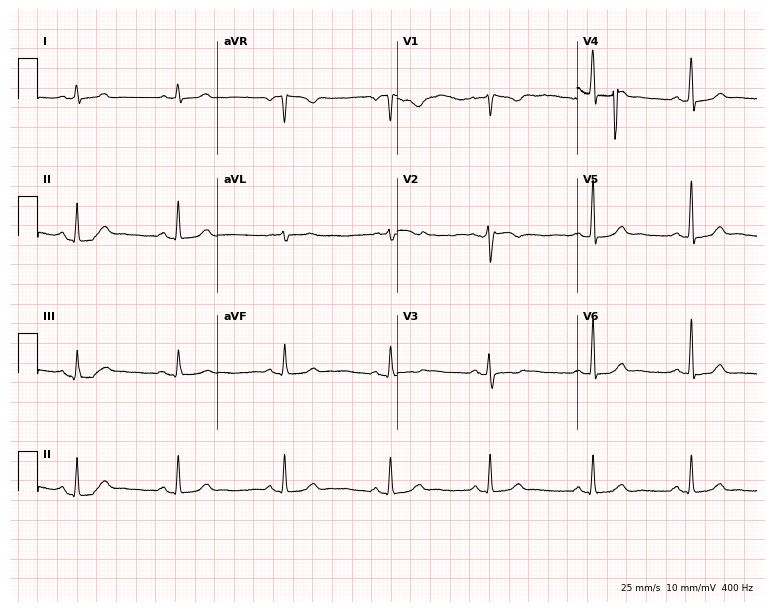
Standard 12-lead ECG recorded from a 37-year-old female (7.3-second recording at 400 Hz). None of these six findings is recorded: first-degree AV block, right bundle branch block (RBBB), left bundle branch block (LBBB), sinus bradycardia, atrial fibrillation (AF), sinus tachycardia. Other findings, if any, are not listed.